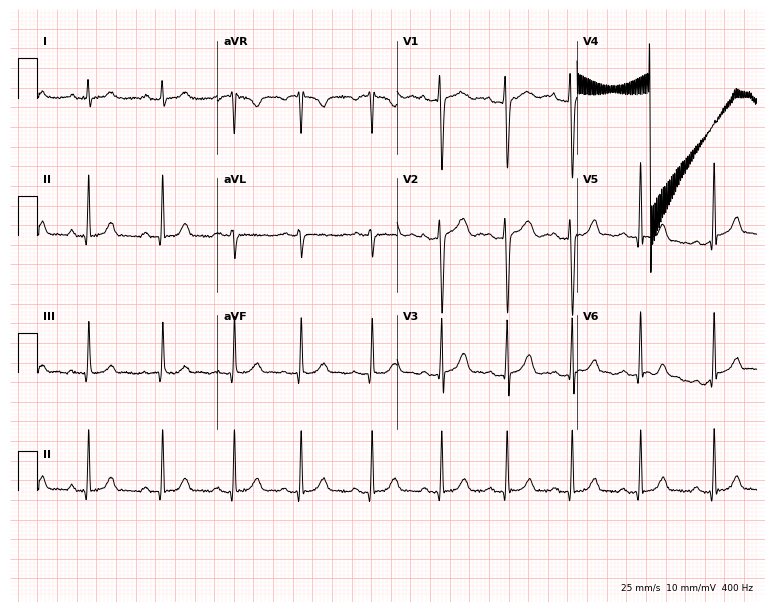
ECG (7.3-second recording at 400 Hz) — a female patient, 21 years old. Screened for six findings — first-degree AV block, right bundle branch block, left bundle branch block, sinus bradycardia, atrial fibrillation, sinus tachycardia — none is recorded. Other findings, if any, are not listed.